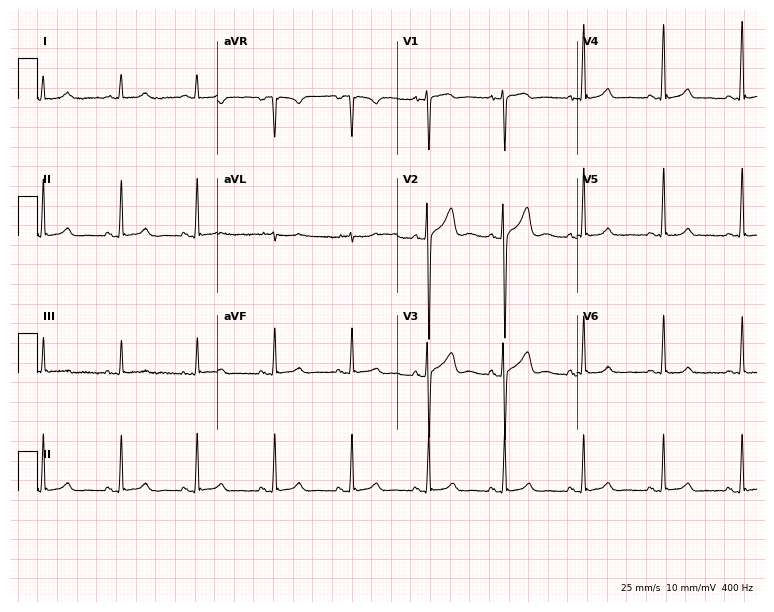
Resting 12-lead electrocardiogram (7.3-second recording at 400 Hz). Patient: a 60-year-old female. Read as a normal ECG.